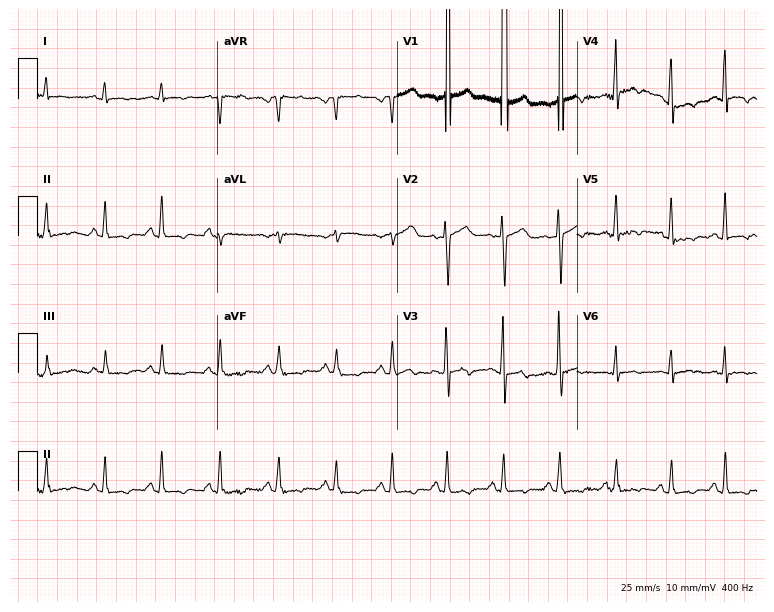
Resting 12-lead electrocardiogram. Patient: a male, 47 years old. None of these six findings is recorded: first-degree AV block, right bundle branch block (RBBB), left bundle branch block (LBBB), sinus bradycardia, atrial fibrillation (AF), sinus tachycardia.